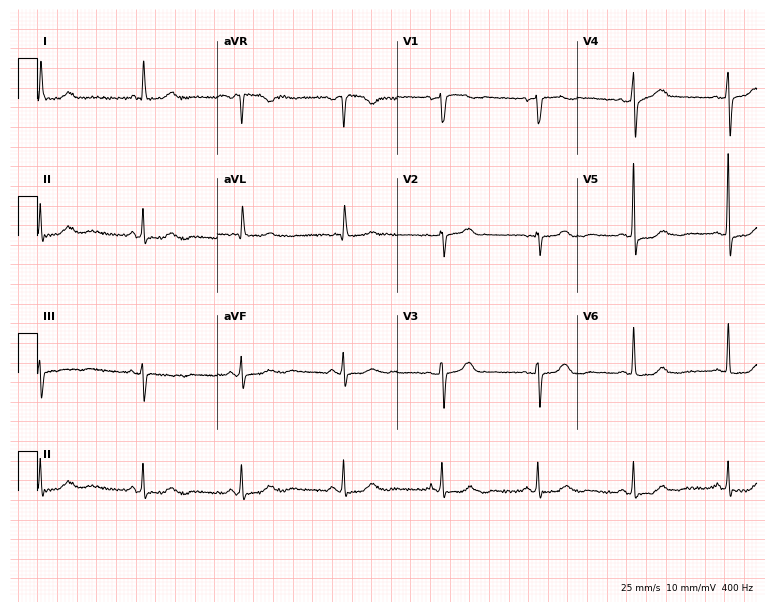
12-lead ECG from a 71-year-old woman. Recorded interpretation: within normal limits.